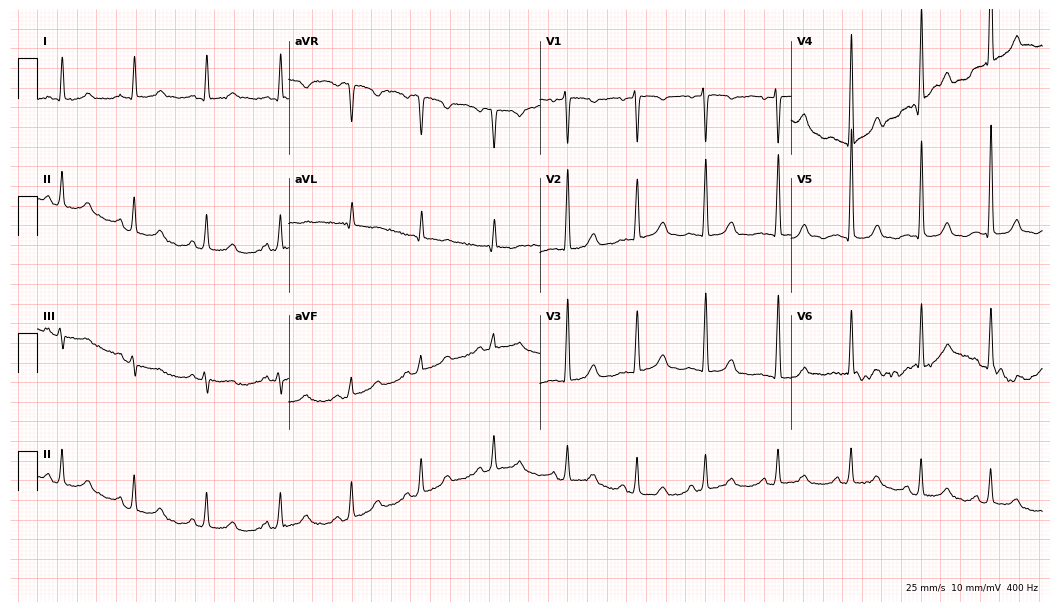
12-lead ECG from an 85-year-old female patient (10.2-second recording at 400 Hz). Recorded interpretation: within normal limits.